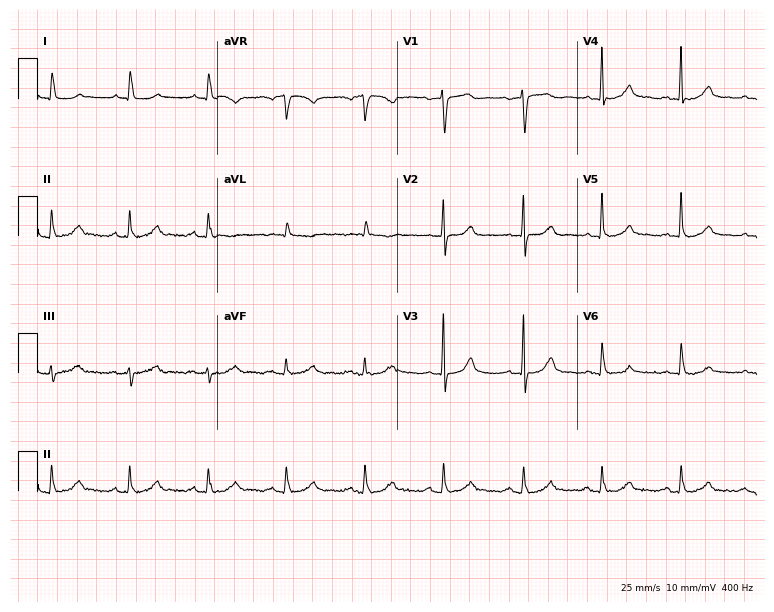
Electrocardiogram, a male patient, 72 years old. Of the six screened findings (first-degree AV block, right bundle branch block, left bundle branch block, sinus bradycardia, atrial fibrillation, sinus tachycardia), none is recorded. Only these six findings were labelled.